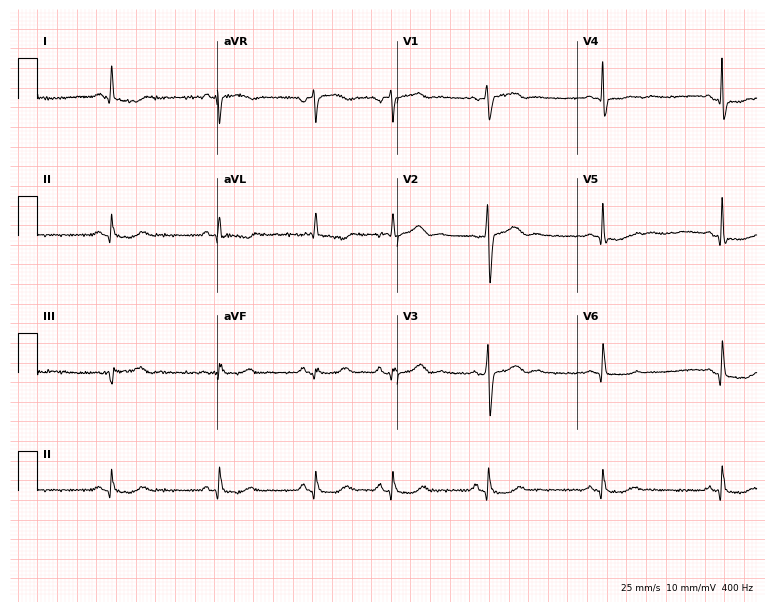
ECG — a 59-year-old female. Labelled as a normal ECG.